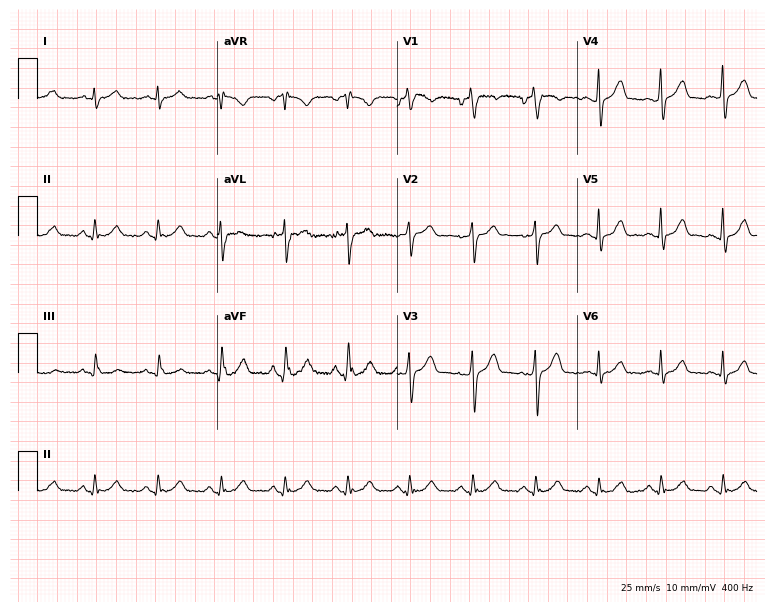
12-lead ECG from a male, 53 years old. No first-degree AV block, right bundle branch block, left bundle branch block, sinus bradycardia, atrial fibrillation or sinus tachycardia recorded for this tracing. Findings outside these six are not listed.